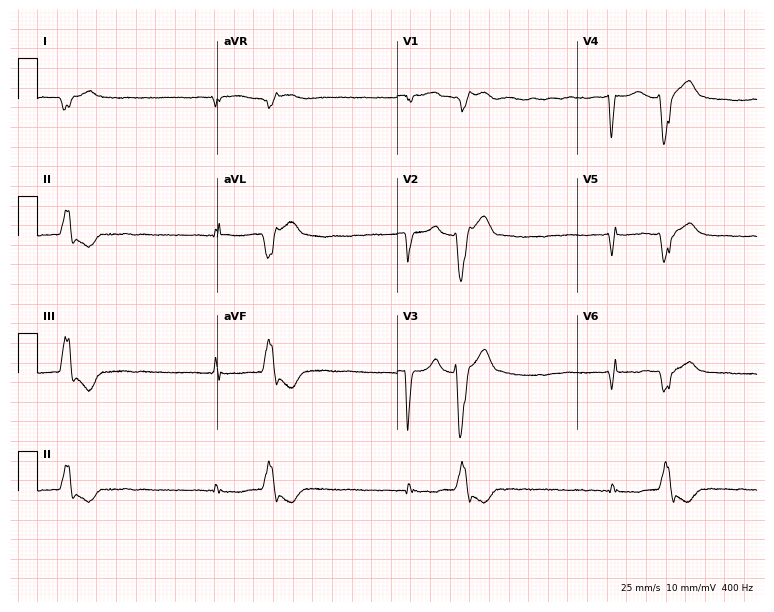
12-lead ECG from a 68-year-old woman (7.3-second recording at 400 Hz). No first-degree AV block, right bundle branch block (RBBB), left bundle branch block (LBBB), sinus bradycardia, atrial fibrillation (AF) or sinus tachycardia recorded for this tracing. Findings outside these six are not listed.